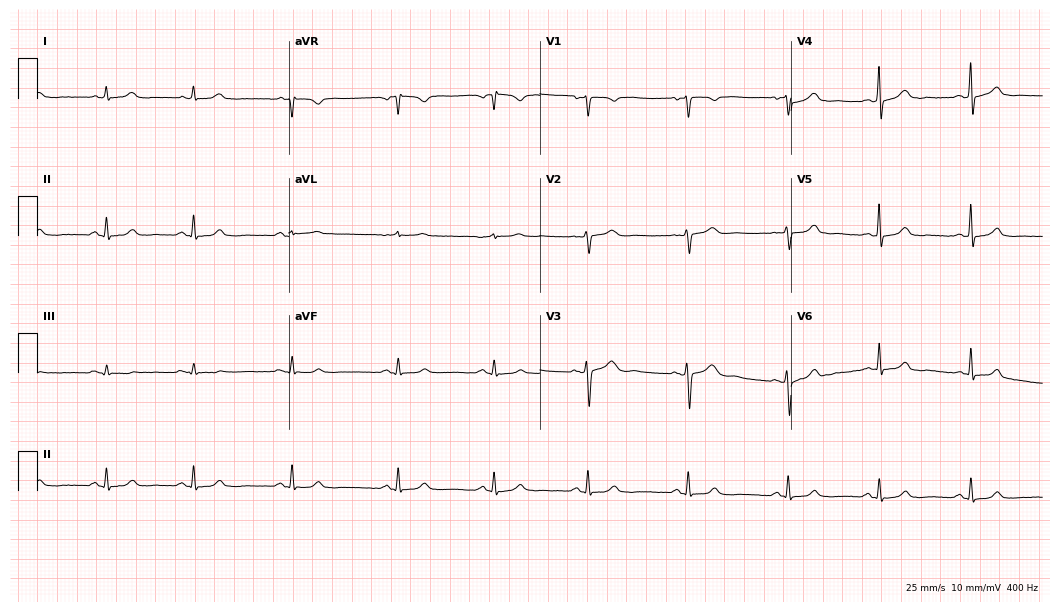
Standard 12-lead ECG recorded from a female, 37 years old. Read as a normal ECG.